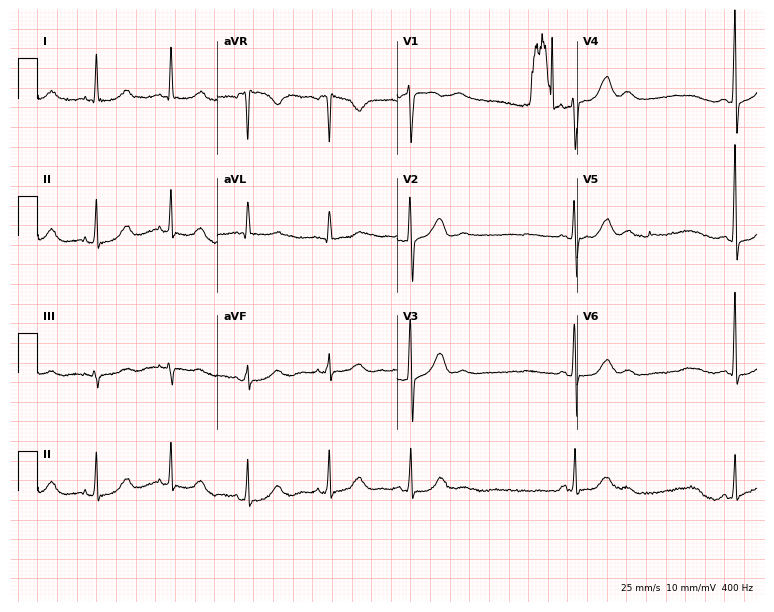
12-lead ECG from an 83-year-old woman. No first-degree AV block, right bundle branch block, left bundle branch block, sinus bradycardia, atrial fibrillation or sinus tachycardia recorded for this tracing.